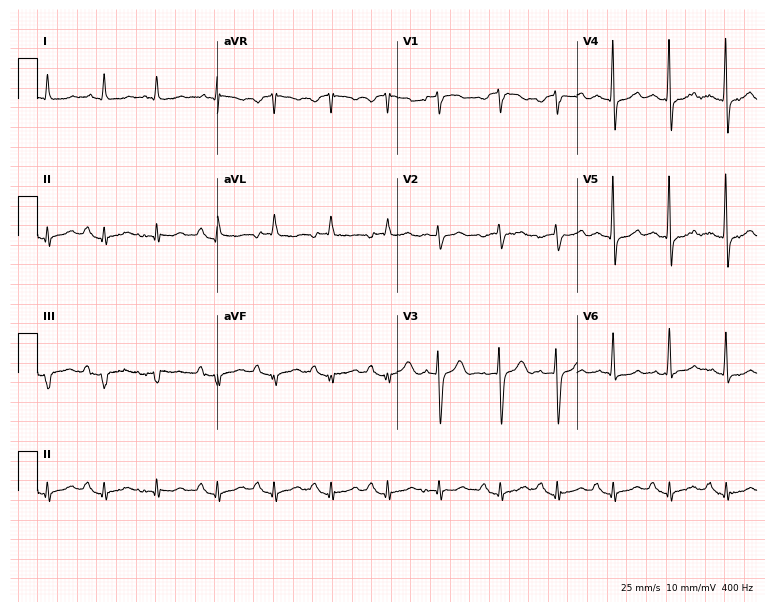
12-lead ECG from an 81-year-old male patient. Findings include sinus tachycardia (a sinus rate of 100 beats per minute or more).